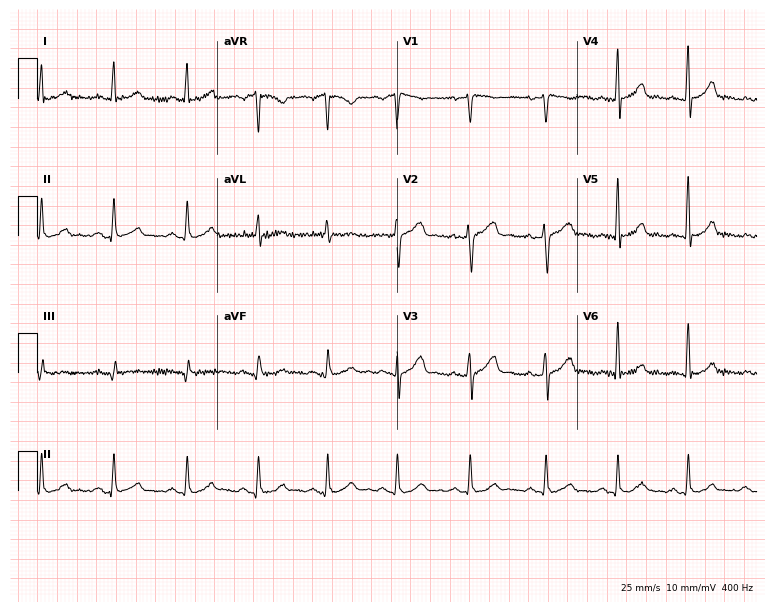
12-lead ECG from a 30-year-old woman. Recorded interpretation: within normal limits.